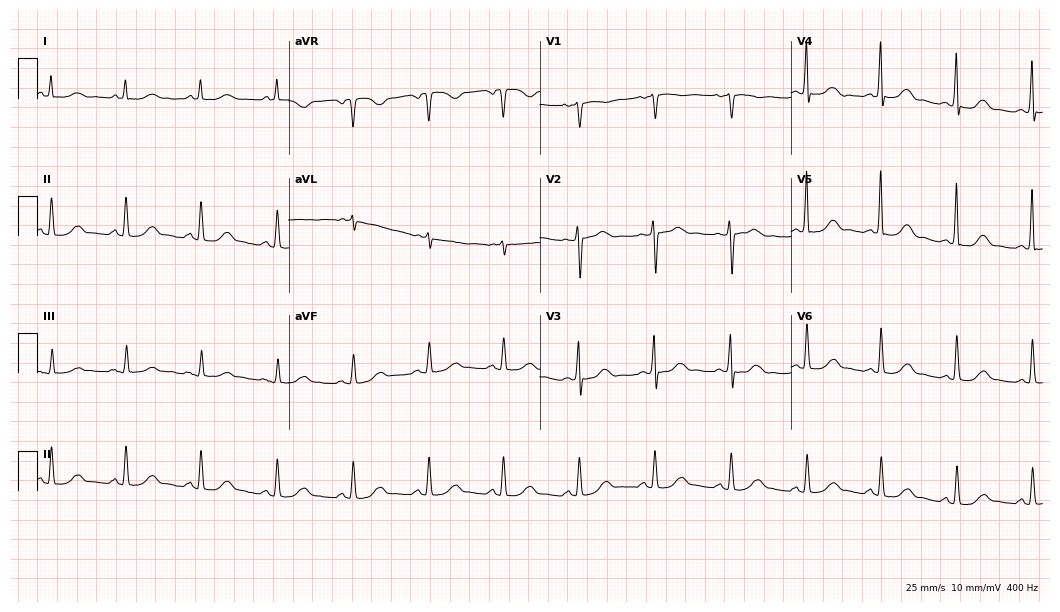
Electrocardiogram (10.2-second recording at 400 Hz), a 62-year-old woman. Overall reading on record: normal ECG.